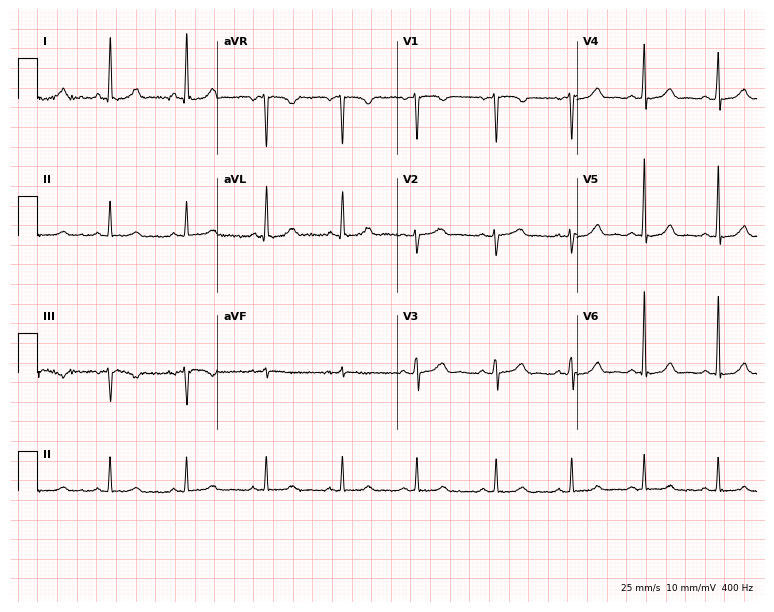
12-lead ECG from a 41-year-old woman. Labelled as a normal ECG.